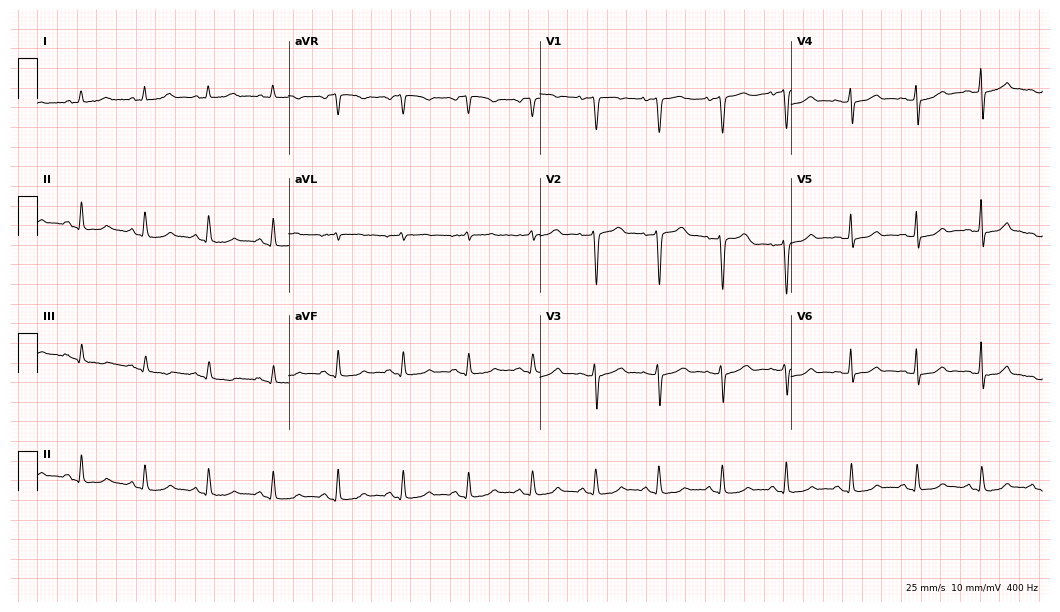
Standard 12-lead ECG recorded from a male patient, 62 years old (10.2-second recording at 400 Hz). Read as a normal ECG.